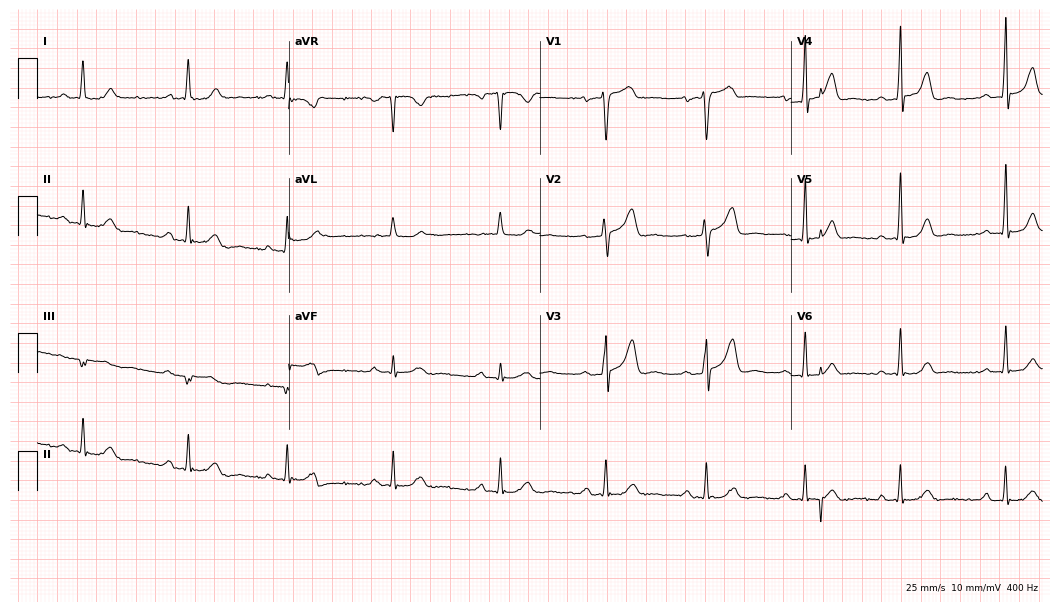
12-lead ECG from a male, 70 years old (10.2-second recording at 400 Hz). No first-degree AV block, right bundle branch block (RBBB), left bundle branch block (LBBB), sinus bradycardia, atrial fibrillation (AF) or sinus tachycardia recorded for this tracing. Other findings, if any, are not listed.